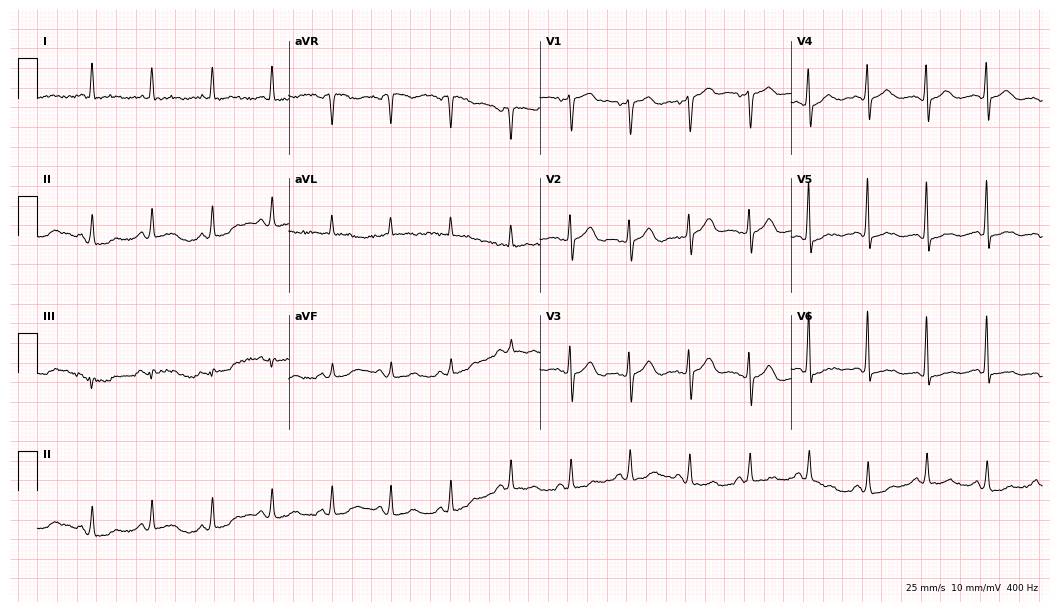
12-lead ECG (10.2-second recording at 400 Hz) from a female, 66 years old. Screened for six findings — first-degree AV block, right bundle branch block, left bundle branch block, sinus bradycardia, atrial fibrillation, sinus tachycardia — none is recorded.